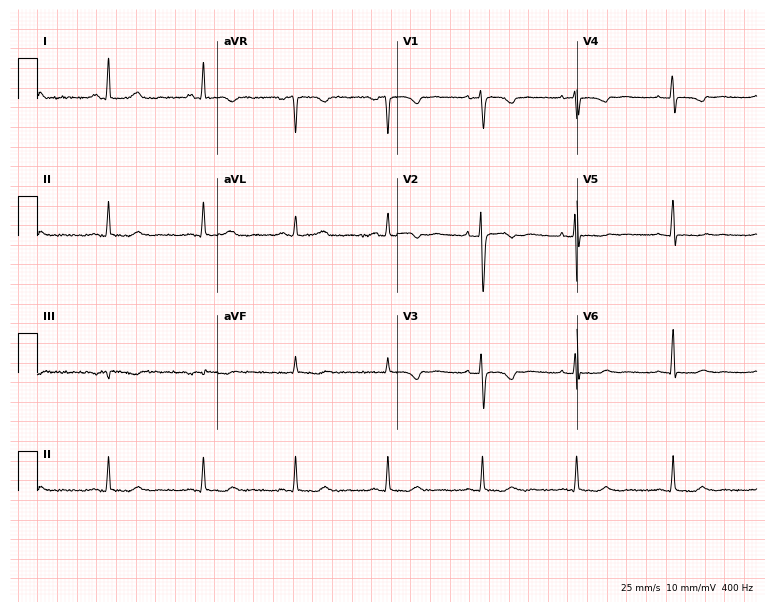
ECG — a female patient, 44 years old. Screened for six findings — first-degree AV block, right bundle branch block (RBBB), left bundle branch block (LBBB), sinus bradycardia, atrial fibrillation (AF), sinus tachycardia — none is recorded. Only these six findings were labelled.